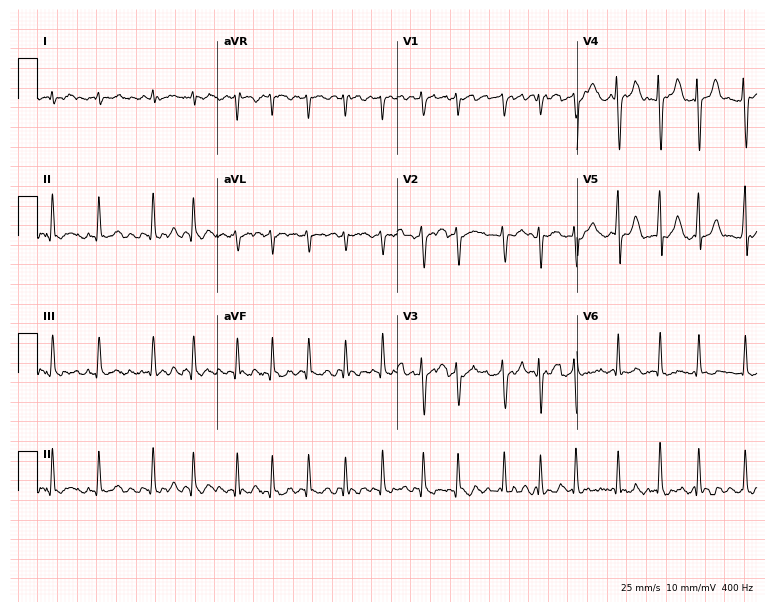
12-lead ECG from a 48-year-old woman. Findings include atrial fibrillation.